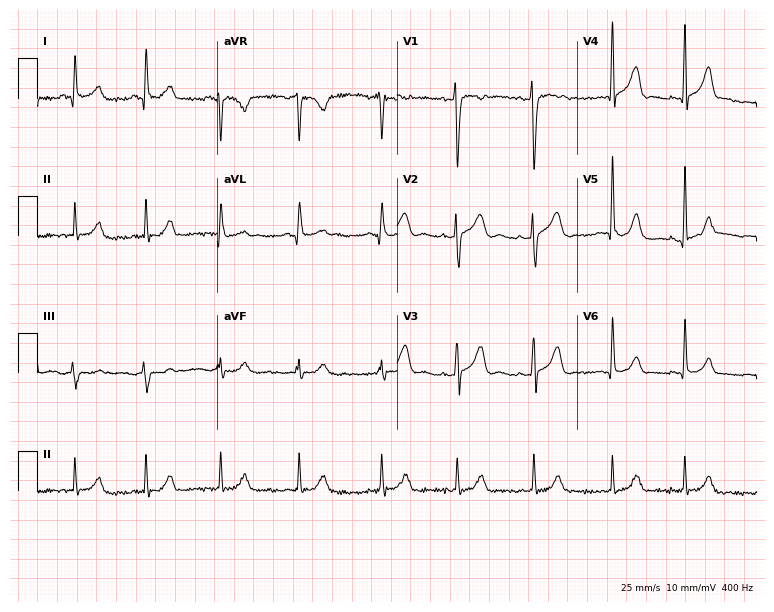
Resting 12-lead electrocardiogram. Patient: a woman, 42 years old. None of these six findings is recorded: first-degree AV block, right bundle branch block (RBBB), left bundle branch block (LBBB), sinus bradycardia, atrial fibrillation (AF), sinus tachycardia. Only these six findings were labelled.